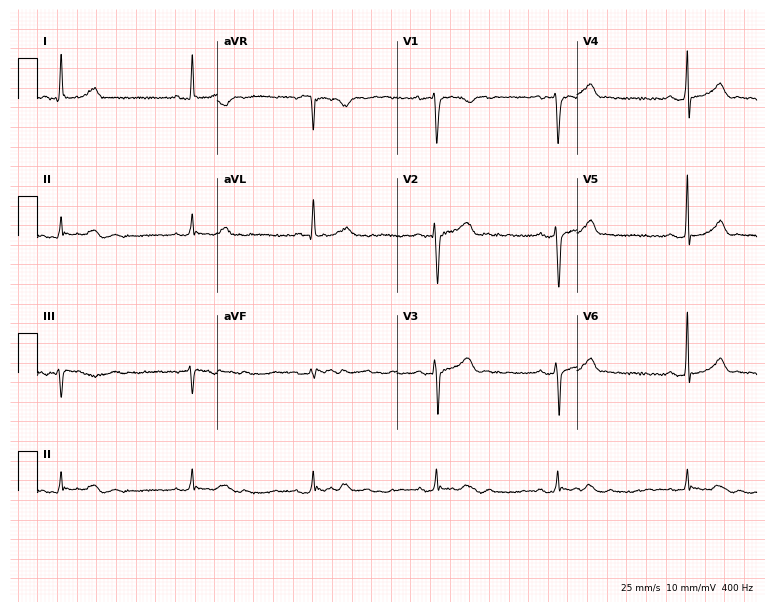
ECG (7.3-second recording at 400 Hz) — a 32-year-old male. Findings include sinus bradycardia (a sinus rate of 50 beats per minute or less).